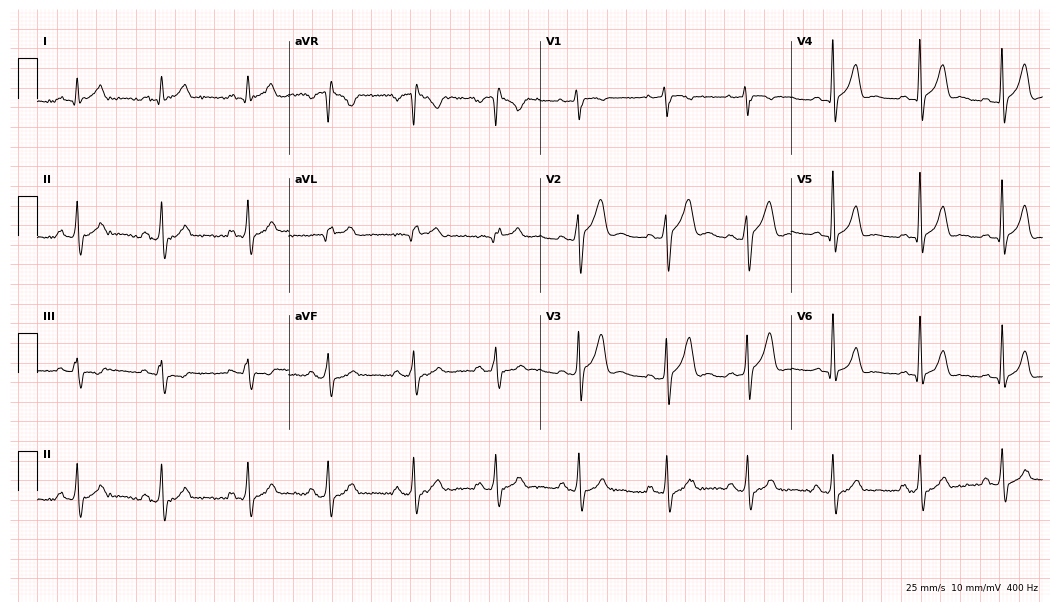
12-lead ECG from a 24-year-old man. No first-degree AV block, right bundle branch block (RBBB), left bundle branch block (LBBB), sinus bradycardia, atrial fibrillation (AF) or sinus tachycardia recorded for this tracing. Findings outside these six are not listed.